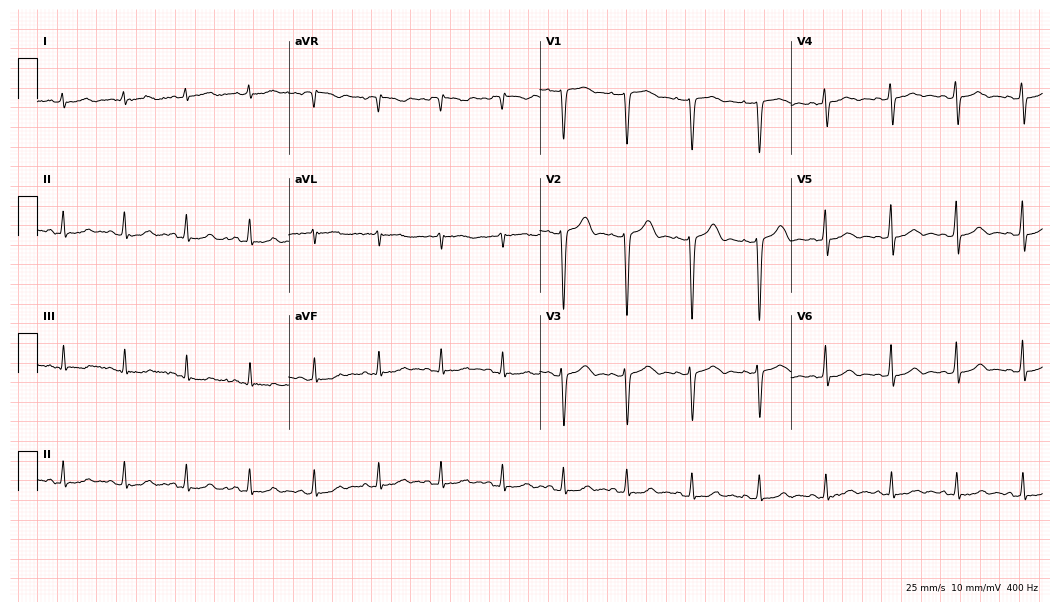
12-lead ECG from a 24-year-old female patient. No first-degree AV block, right bundle branch block, left bundle branch block, sinus bradycardia, atrial fibrillation or sinus tachycardia recorded for this tracing.